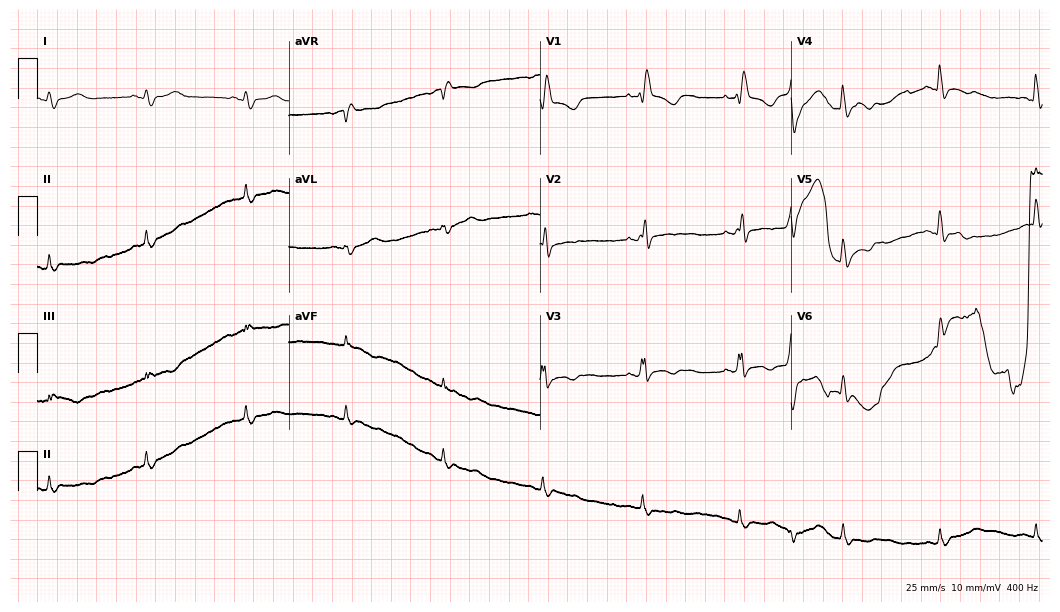
Resting 12-lead electrocardiogram. Patient: a 49-year-old female. The tracing shows right bundle branch block.